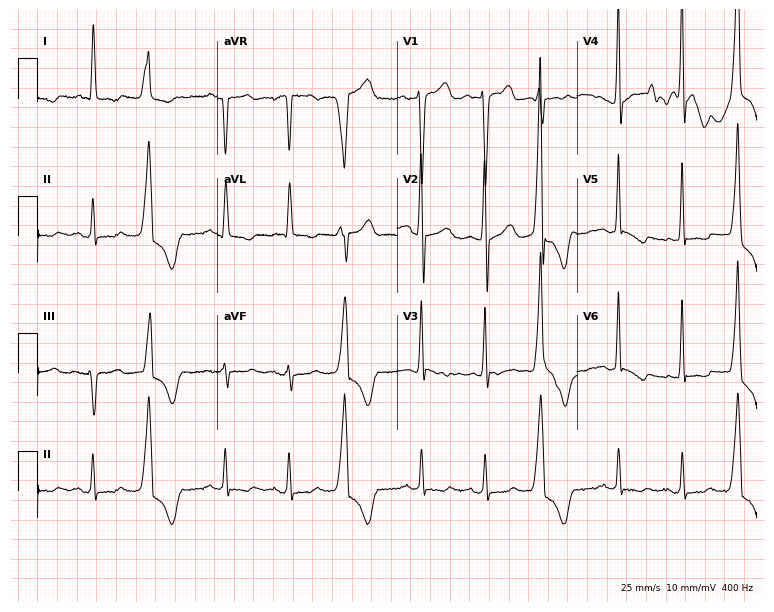
12-lead ECG from a 74-year-old male patient. No first-degree AV block, right bundle branch block, left bundle branch block, sinus bradycardia, atrial fibrillation or sinus tachycardia recorded for this tracing. Only these six findings were labelled.